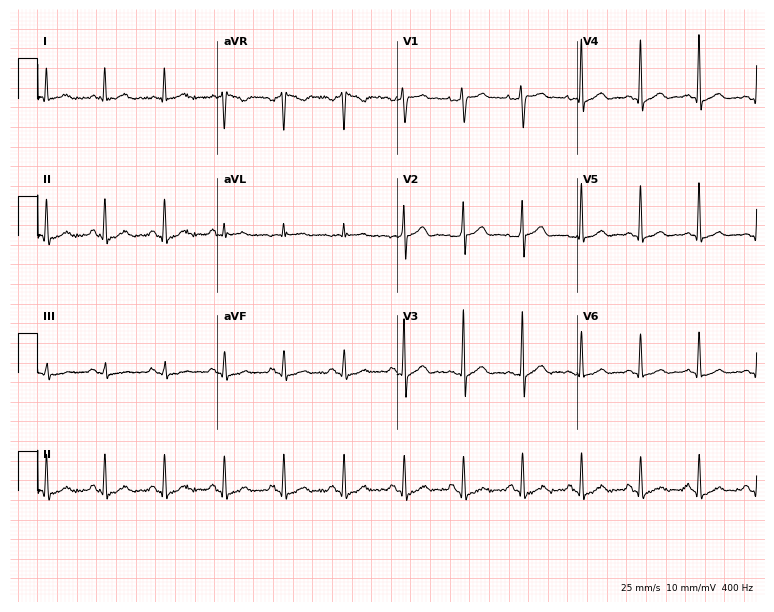
ECG (7.3-second recording at 400 Hz) — a male, 58 years old. Screened for six findings — first-degree AV block, right bundle branch block, left bundle branch block, sinus bradycardia, atrial fibrillation, sinus tachycardia — none is recorded.